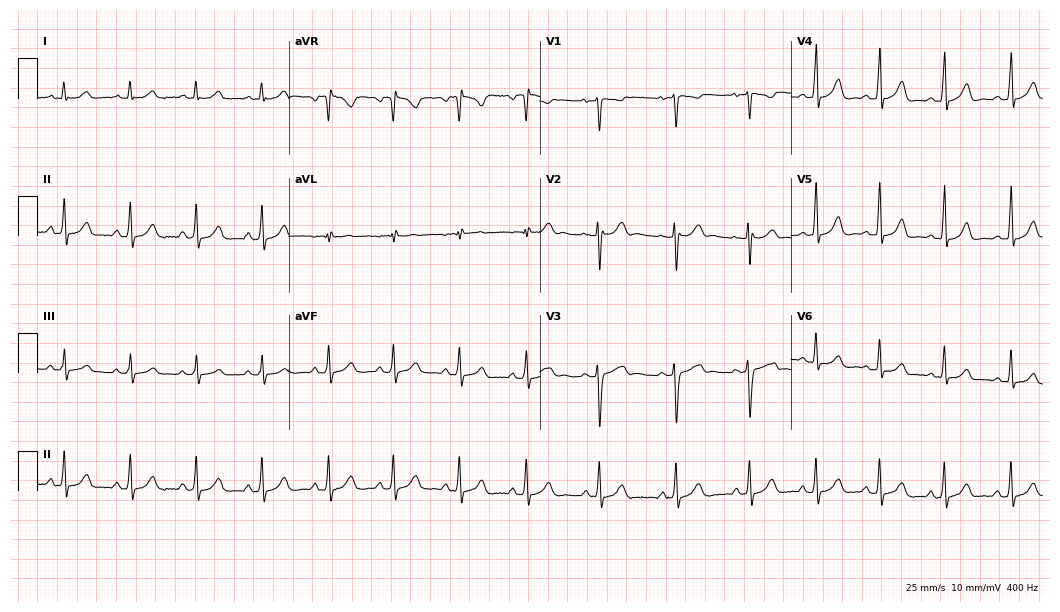
ECG — a female, 22 years old. Screened for six findings — first-degree AV block, right bundle branch block, left bundle branch block, sinus bradycardia, atrial fibrillation, sinus tachycardia — none is recorded. Findings outside these six are not listed.